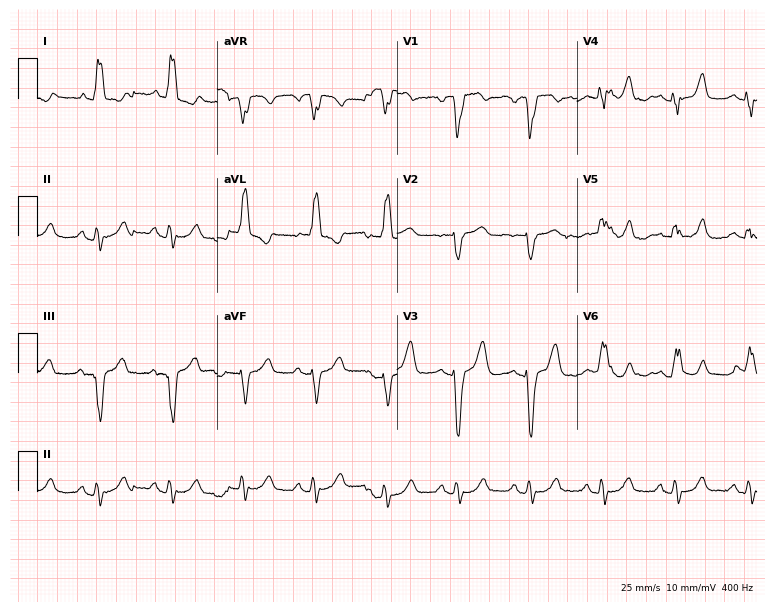
Electrocardiogram (7.3-second recording at 400 Hz), a female patient, 76 years old. Interpretation includes left bundle branch block.